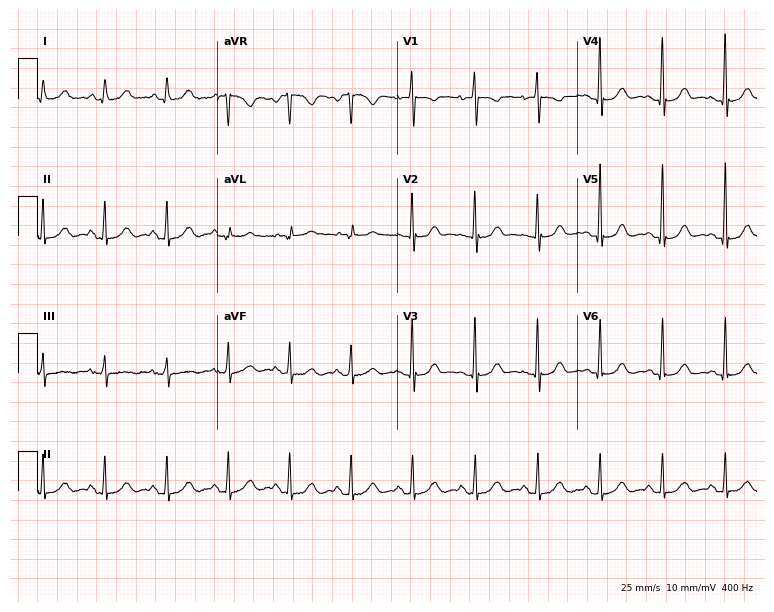
ECG — a female patient, 72 years old. Screened for six findings — first-degree AV block, right bundle branch block (RBBB), left bundle branch block (LBBB), sinus bradycardia, atrial fibrillation (AF), sinus tachycardia — none is recorded. Other findings, if any, are not listed.